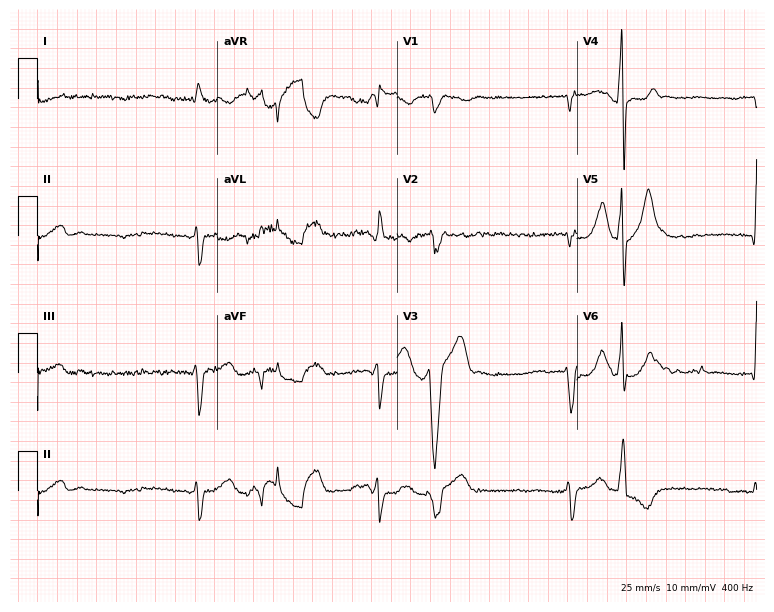
ECG (7.3-second recording at 400 Hz) — a male, 84 years old. Screened for six findings — first-degree AV block, right bundle branch block, left bundle branch block, sinus bradycardia, atrial fibrillation, sinus tachycardia — none is recorded.